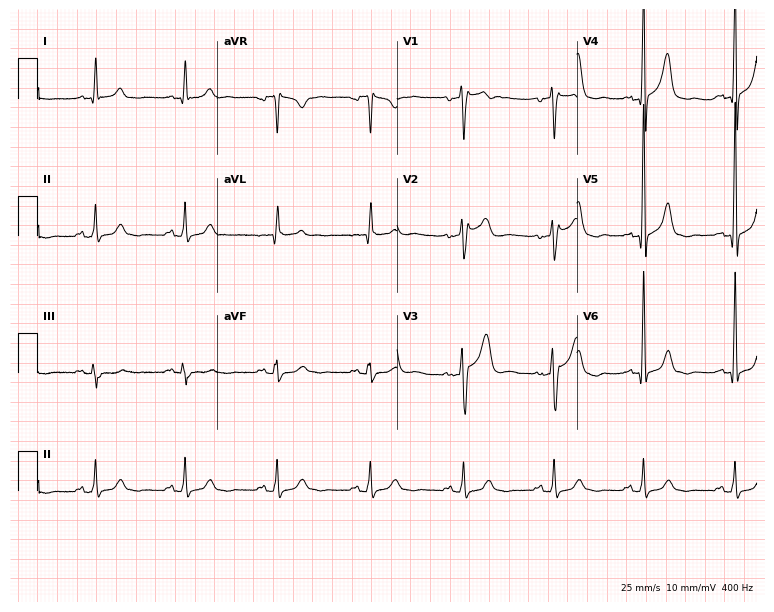
12-lead ECG from a 58-year-old male. Screened for six findings — first-degree AV block, right bundle branch block, left bundle branch block, sinus bradycardia, atrial fibrillation, sinus tachycardia — none is recorded.